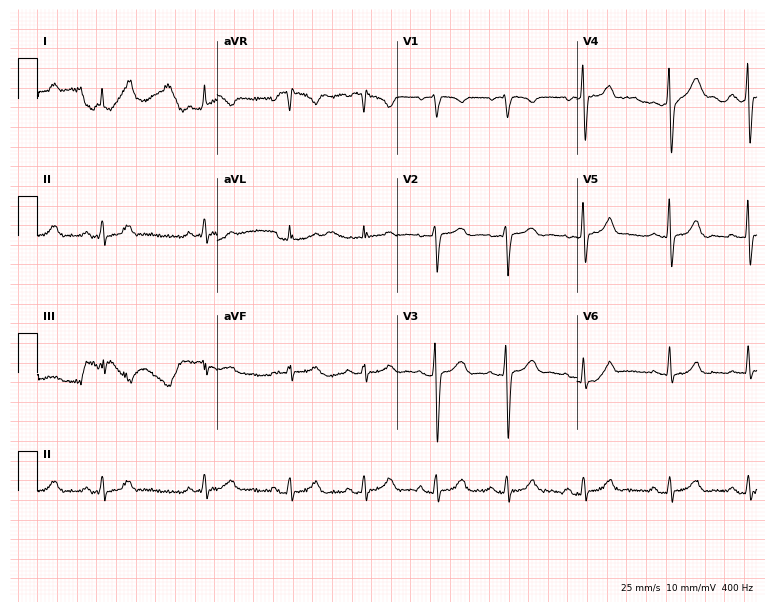
ECG (7.3-second recording at 400 Hz) — a woman, 40 years old. Screened for six findings — first-degree AV block, right bundle branch block (RBBB), left bundle branch block (LBBB), sinus bradycardia, atrial fibrillation (AF), sinus tachycardia — none is recorded.